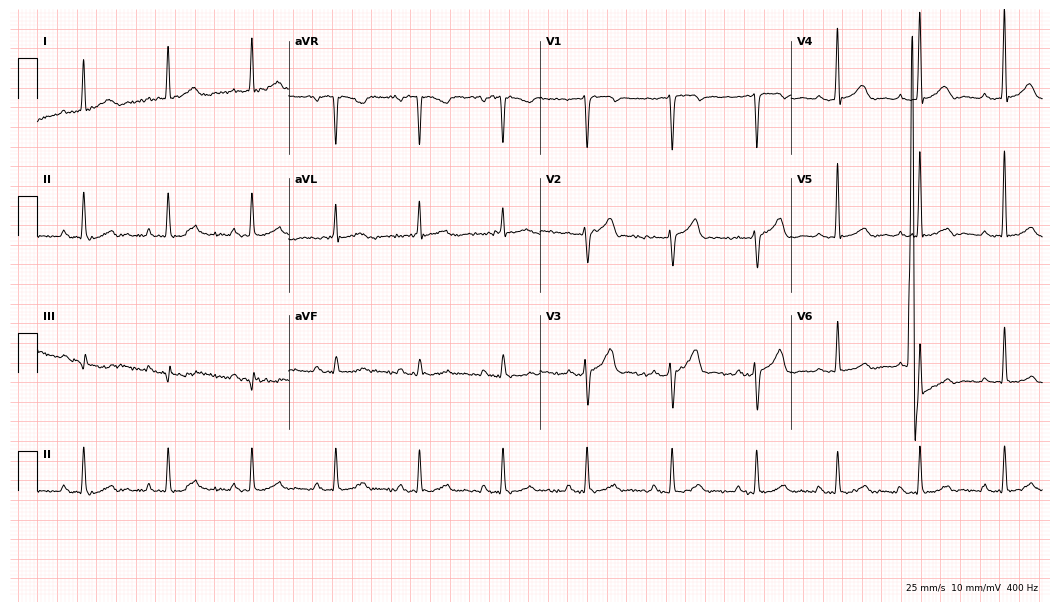
Electrocardiogram (10.2-second recording at 400 Hz), a male patient, 57 years old. Overall reading on record: normal ECG.